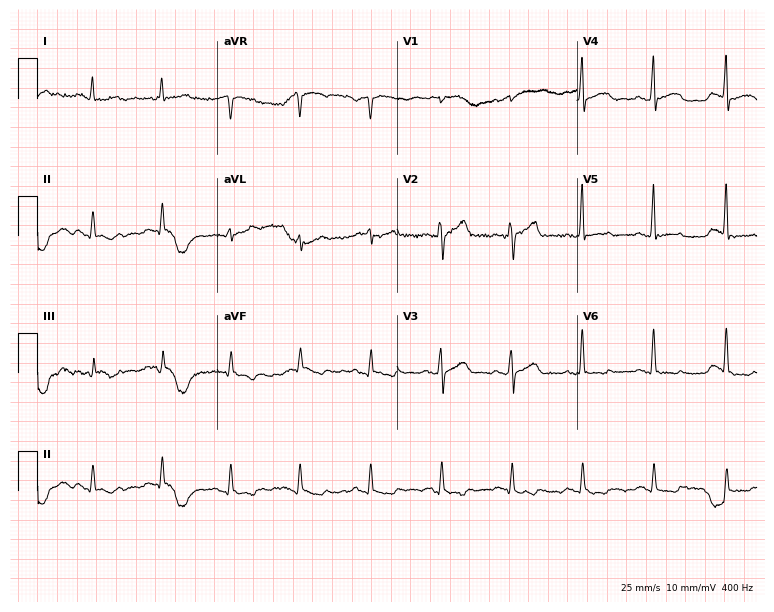
Electrocardiogram, a man, 55 years old. Of the six screened findings (first-degree AV block, right bundle branch block (RBBB), left bundle branch block (LBBB), sinus bradycardia, atrial fibrillation (AF), sinus tachycardia), none is recorded.